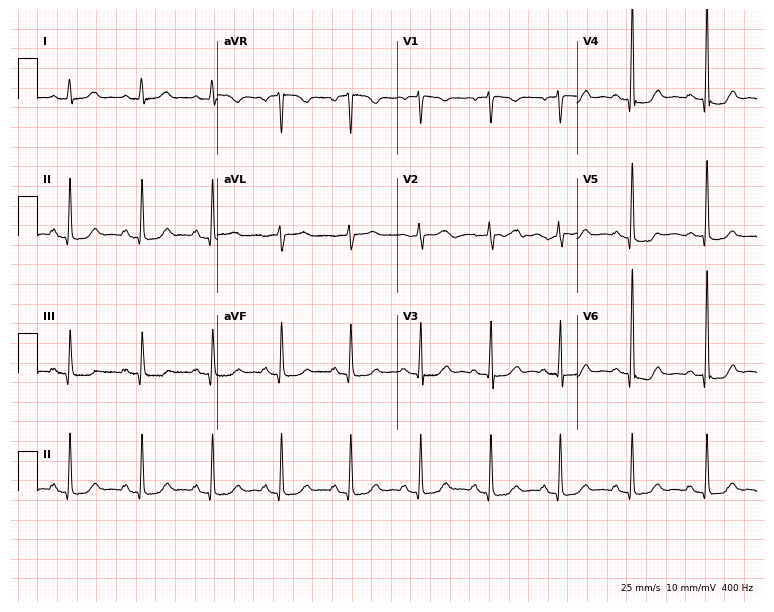
Standard 12-lead ECG recorded from a 55-year-old female patient (7.3-second recording at 400 Hz). None of these six findings is recorded: first-degree AV block, right bundle branch block, left bundle branch block, sinus bradycardia, atrial fibrillation, sinus tachycardia. Findings outside these six are not listed.